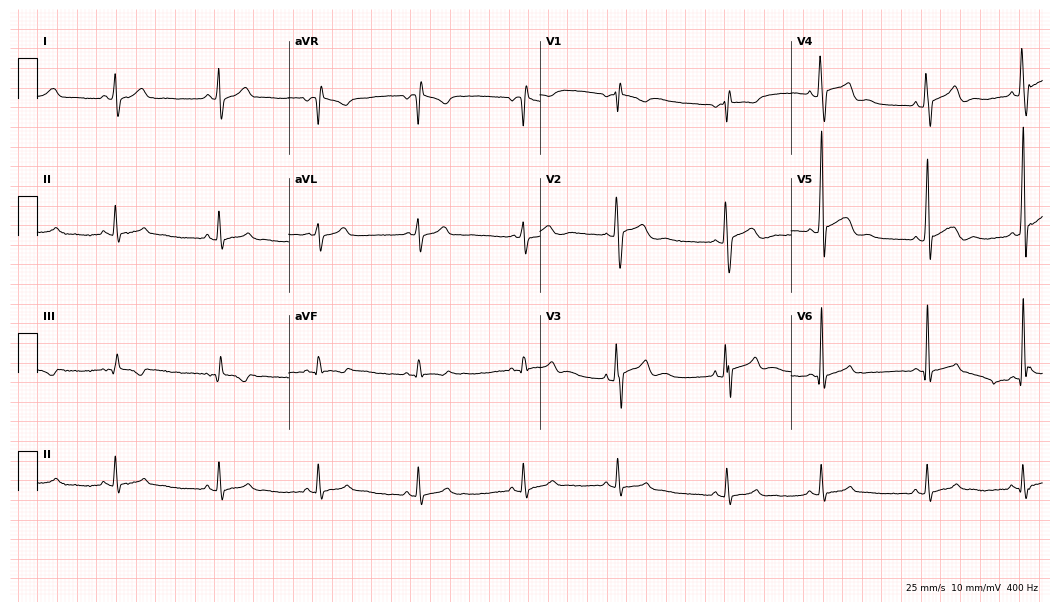
12-lead ECG from a male, 17 years old (10.2-second recording at 400 Hz). Recorded interpretation: within normal limits.